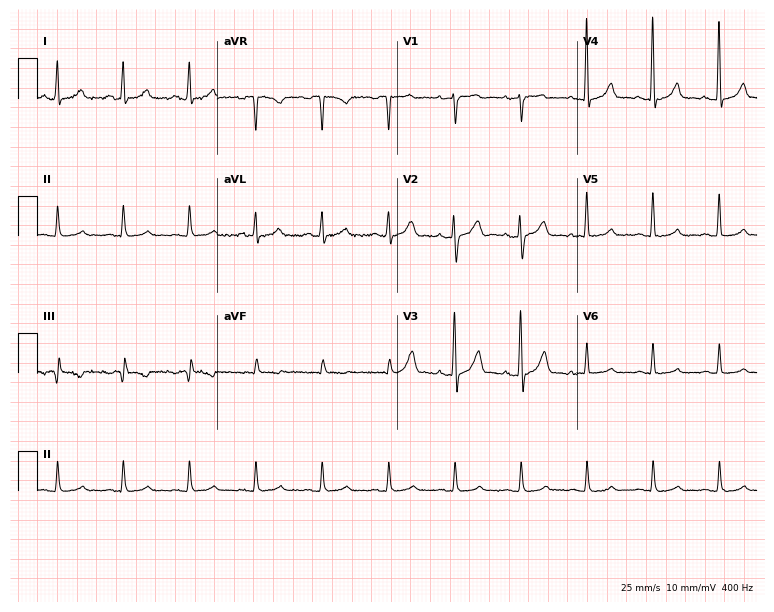
Resting 12-lead electrocardiogram (7.3-second recording at 400 Hz). Patient: a 43-year-old male. None of these six findings is recorded: first-degree AV block, right bundle branch block, left bundle branch block, sinus bradycardia, atrial fibrillation, sinus tachycardia.